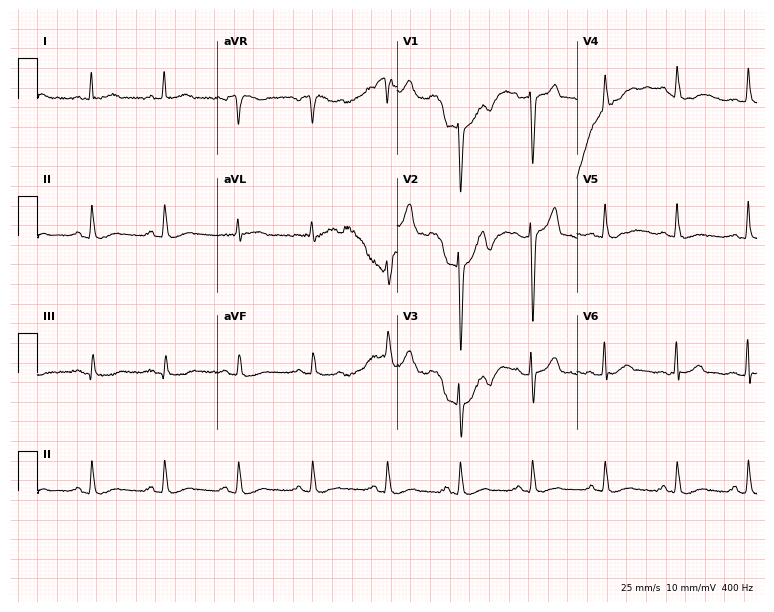
Standard 12-lead ECG recorded from a 54-year-old male patient (7.3-second recording at 400 Hz). None of these six findings is recorded: first-degree AV block, right bundle branch block, left bundle branch block, sinus bradycardia, atrial fibrillation, sinus tachycardia. Findings outside these six are not listed.